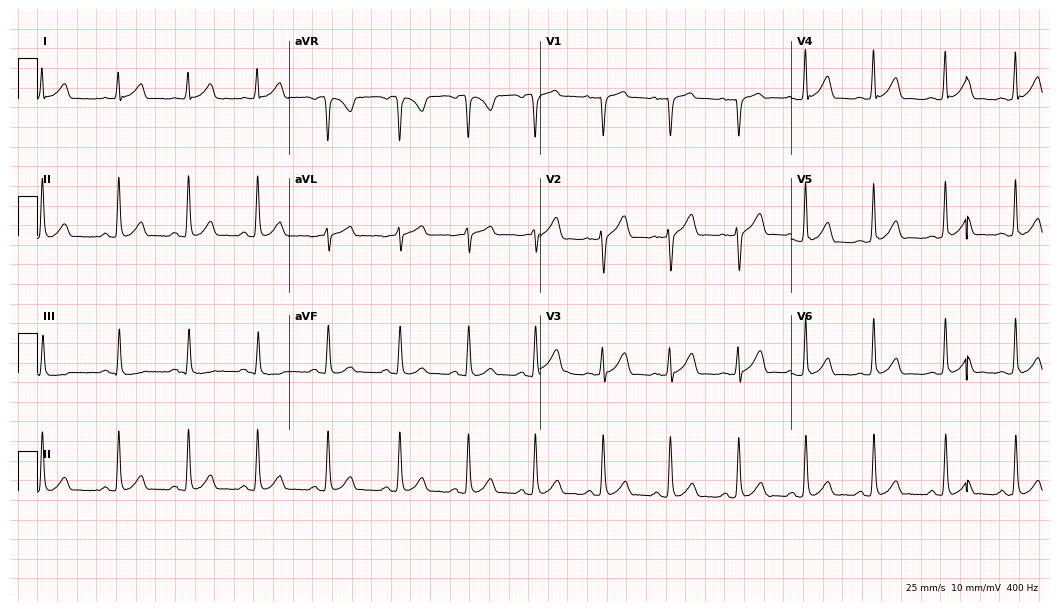
12-lead ECG from a male patient, 40 years old. Labelled as a normal ECG.